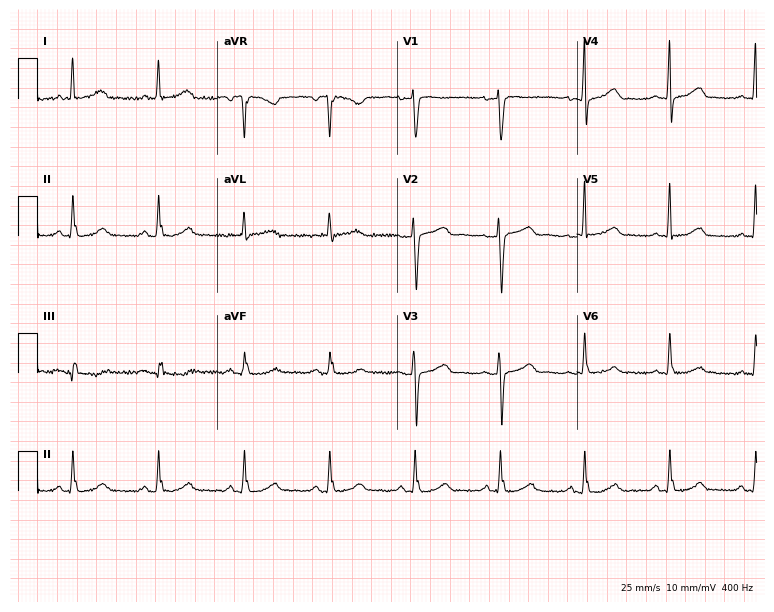
12-lead ECG from a female, 61 years old. Screened for six findings — first-degree AV block, right bundle branch block, left bundle branch block, sinus bradycardia, atrial fibrillation, sinus tachycardia — none is recorded.